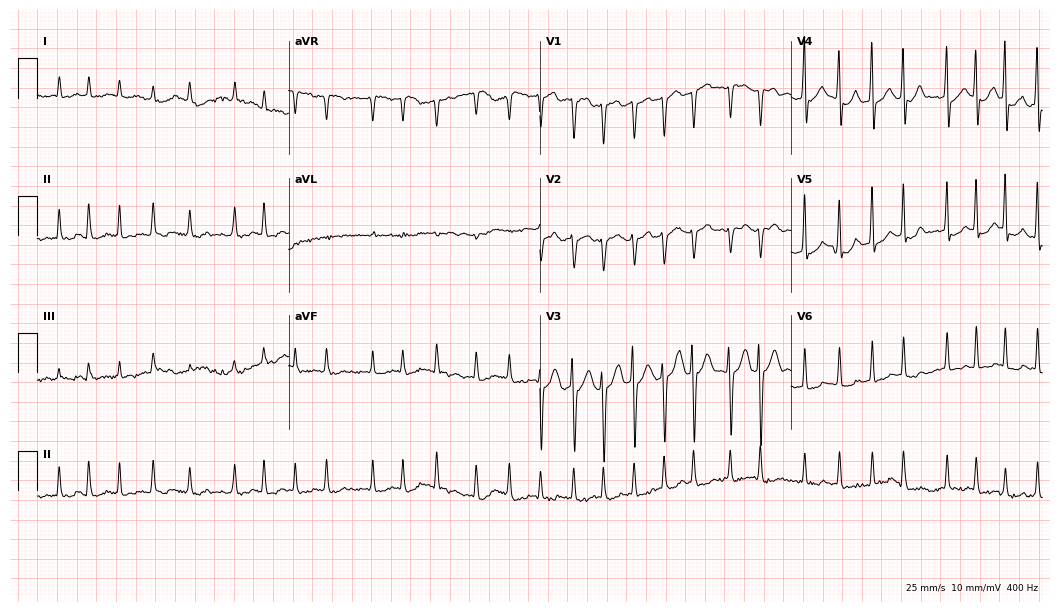
12-lead ECG from a man, 64 years old. No first-degree AV block, right bundle branch block (RBBB), left bundle branch block (LBBB), sinus bradycardia, atrial fibrillation (AF) or sinus tachycardia recorded for this tracing. Findings outside these six are not listed.